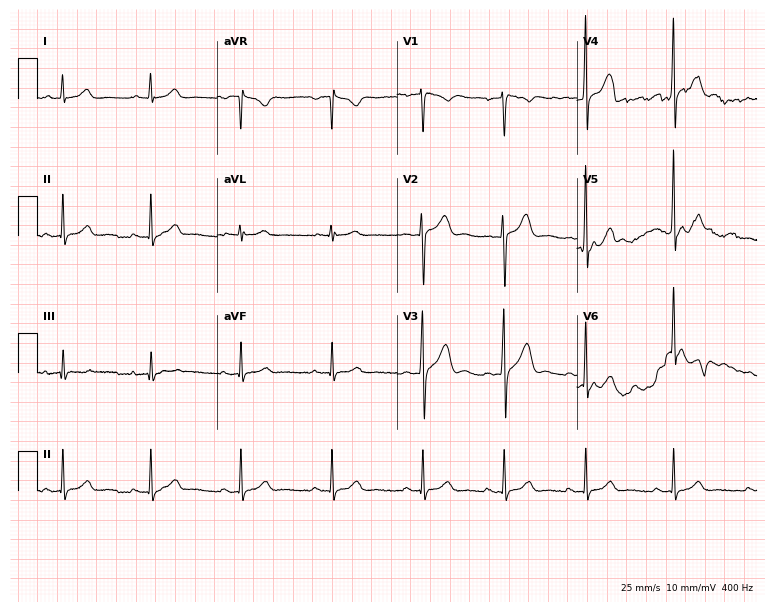
ECG — a 36-year-old male patient. Screened for six findings — first-degree AV block, right bundle branch block (RBBB), left bundle branch block (LBBB), sinus bradycardia, atrial fibrillation (AF), sinus tachycardia — none is recorded.